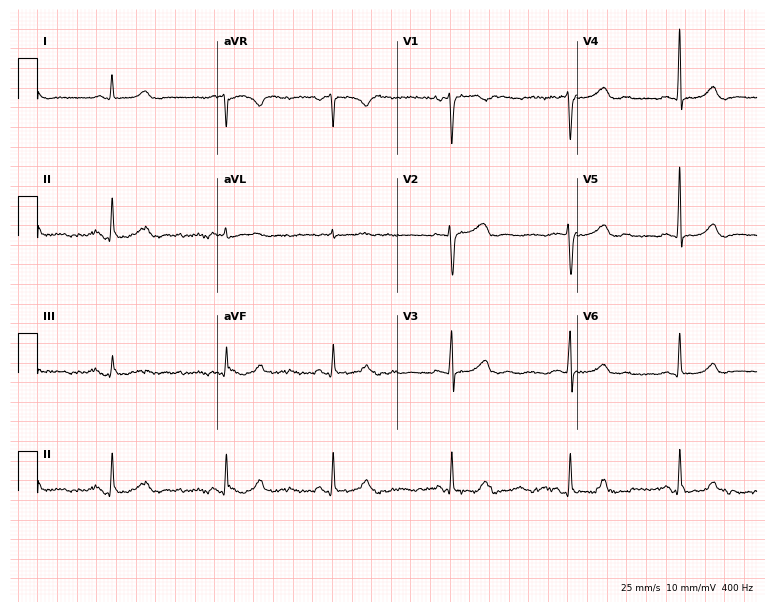
ECG (7.3-second recording at 400 Hz) — a 44-year-old woman. Screened for six findings — first-degree AV block, right bundle branch block, left bundle branch block, sinus bradycardia, atrial fibrillation, sinus tachycardia — none is recorded.